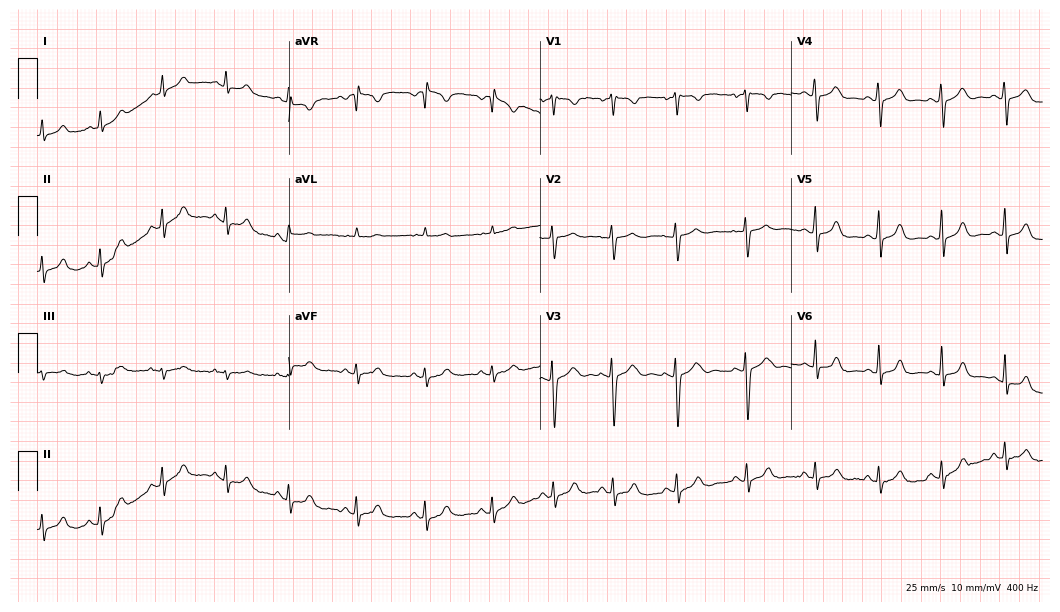
12-lead ECG from a 17-year-old woman. Labelled as a normal ECG.